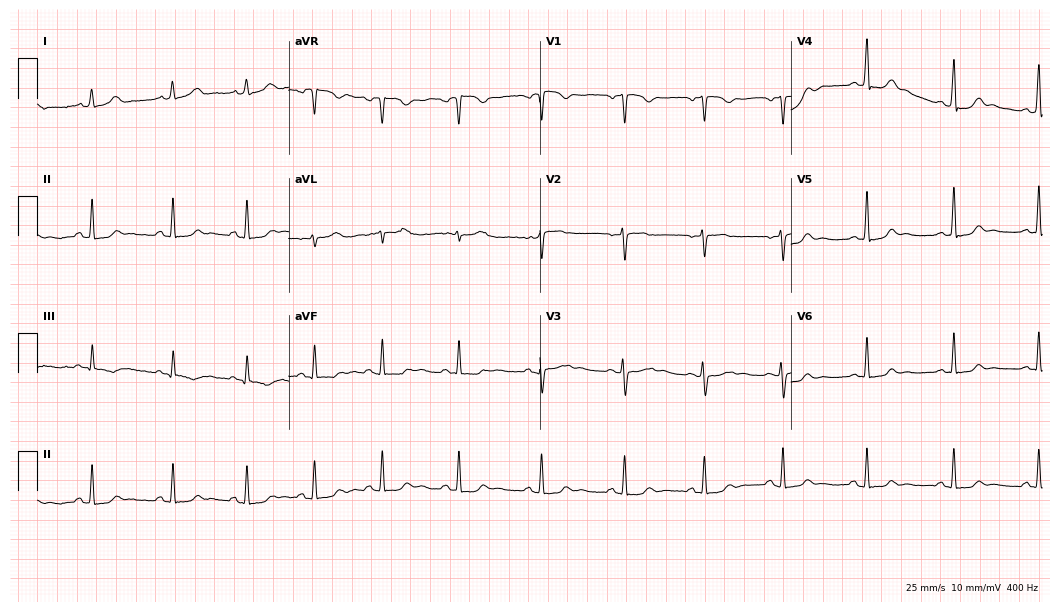
Standard 12-lead ECG recorded from a 22-year-old female. None of these six findings is recorded: first-degree AV block, right bundle branch block, left bundle branch block, sinus bradycardia, atrial fibrillation, sinus tachycardia. Other findings, if any, are not listed.